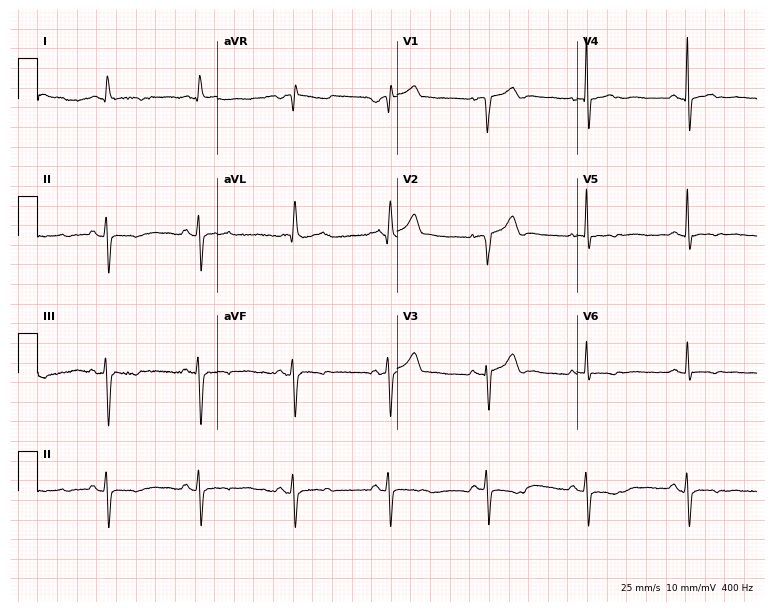
12-lead ECG from a 76-year-old man. Screened for six findings — first-degree AV block, right bundle branch block (RBBB), left bundle branch block (LBBB), sinus bradycardia, atrial fibrillation (AF), sinus tachycardia — none is recorded.